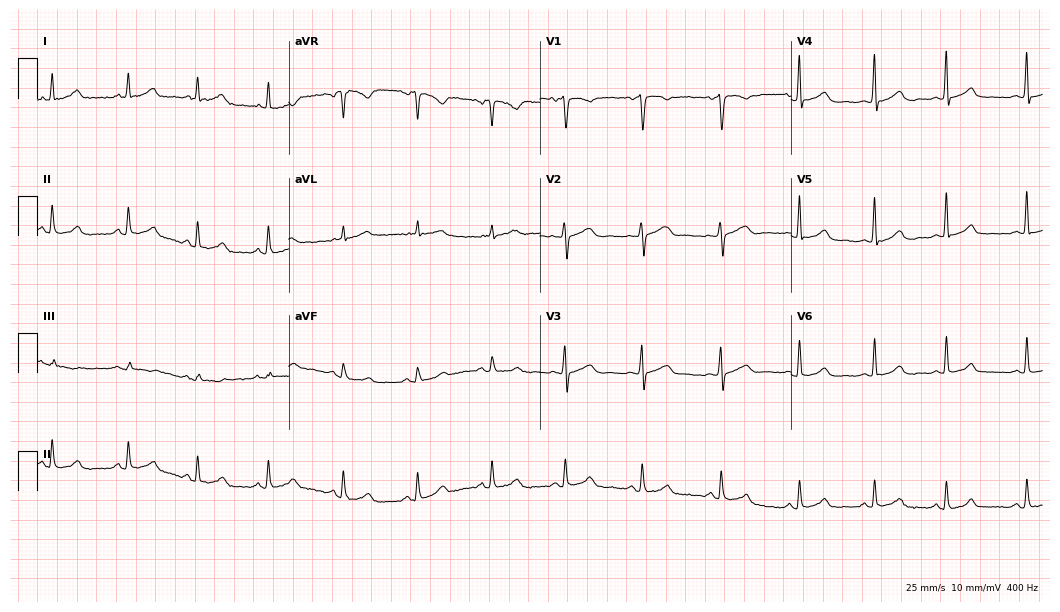
12-lead ECG (10.2-second recording at 400 Hz) from a female patient, 41 years old. Labelled as a normal ECG.